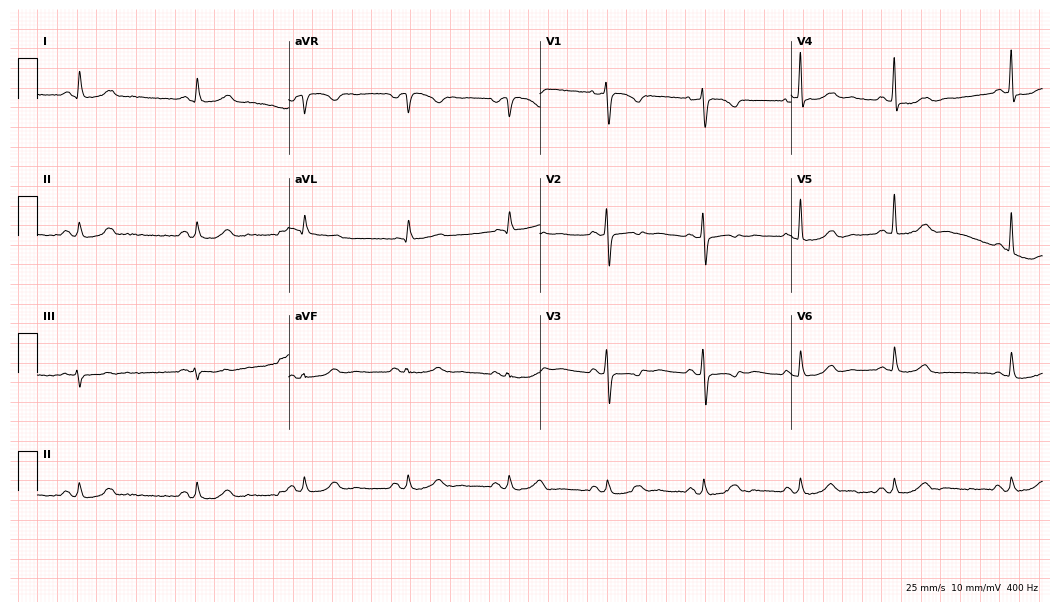
Electrocardiogram, a 69-year-old female. Overall reading on record: normal ECG.